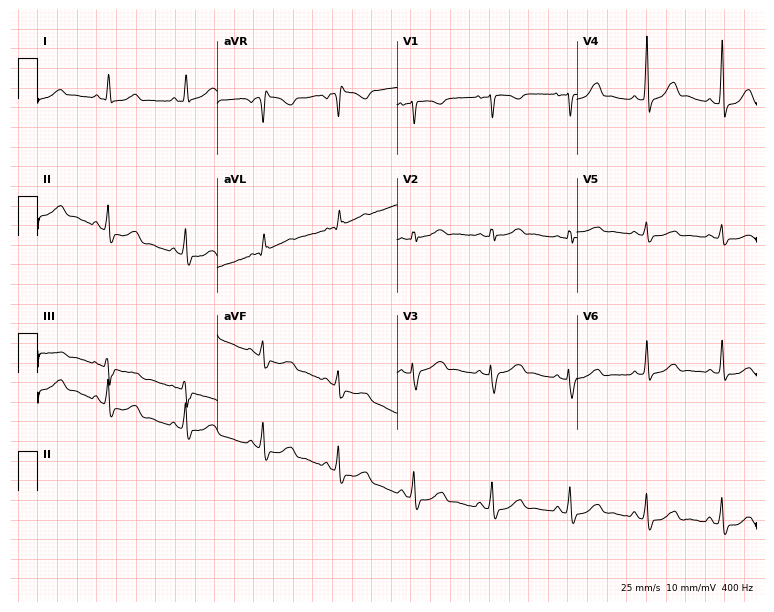
12-lead ECG from a 50-year-old female. No first-degree AV block, right bundle branch block (RBBB), left bundle branch block (LBBB), sinus bradycardia, atrial fibrillation (AF) or sinus tachycardia recorded for this tracing.